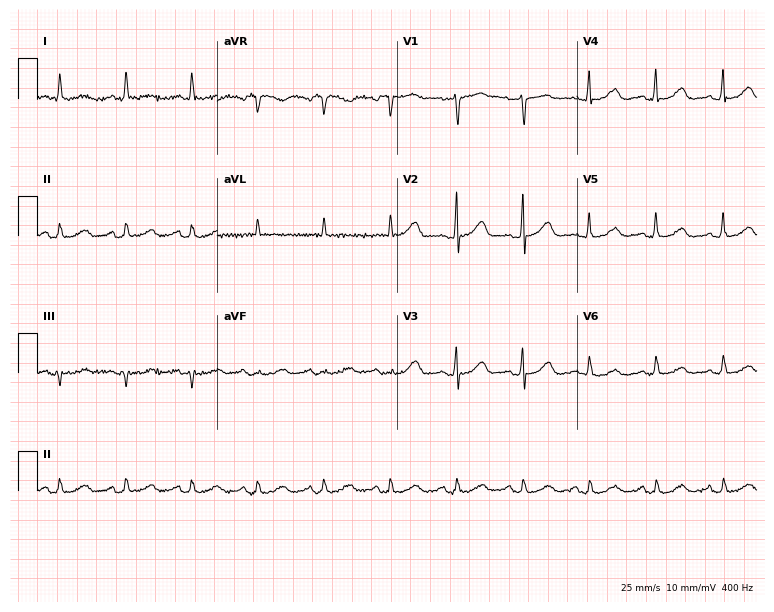
ECG — a female, 71 years old. Labelled as a normal ECG.